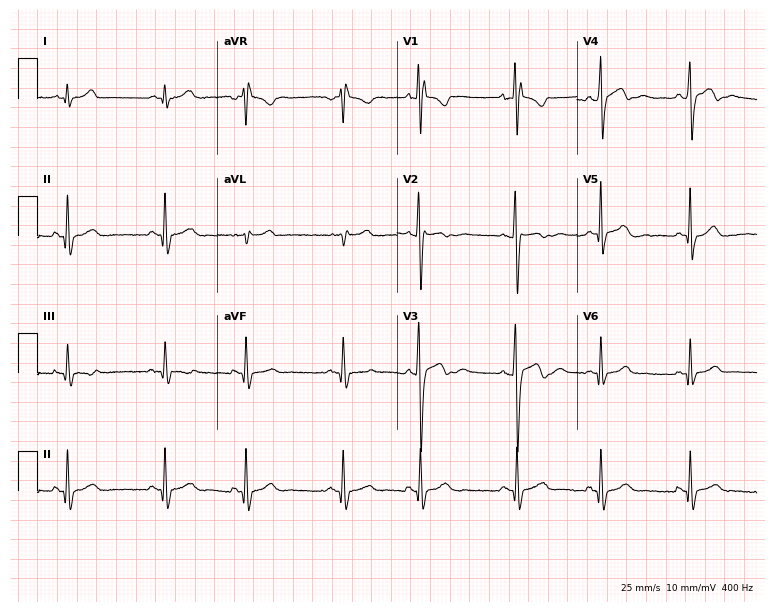
12-lead ECG (7.3-second recording at 400 Hz) from an 18-year-old male patient. Labelled as a normal ECG.